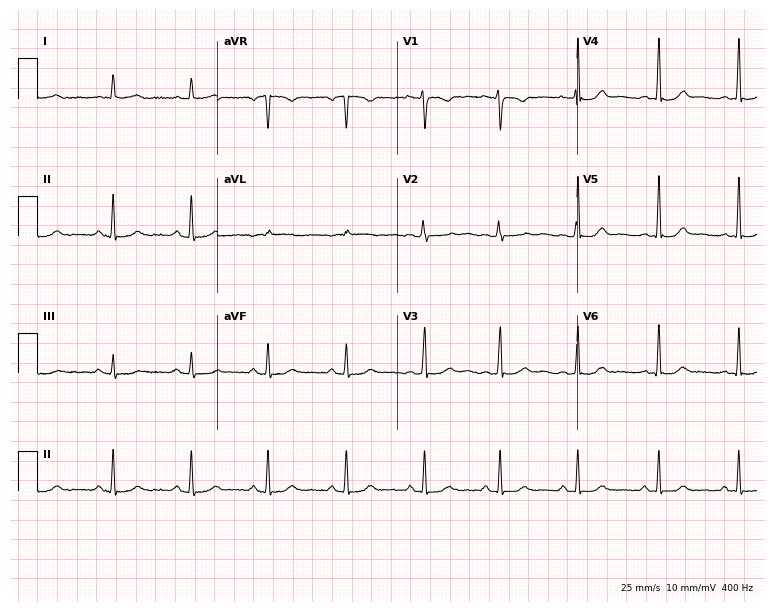
12-lead ECG from a 30-year-old female patient. Recorded interpretation: within normal limits.